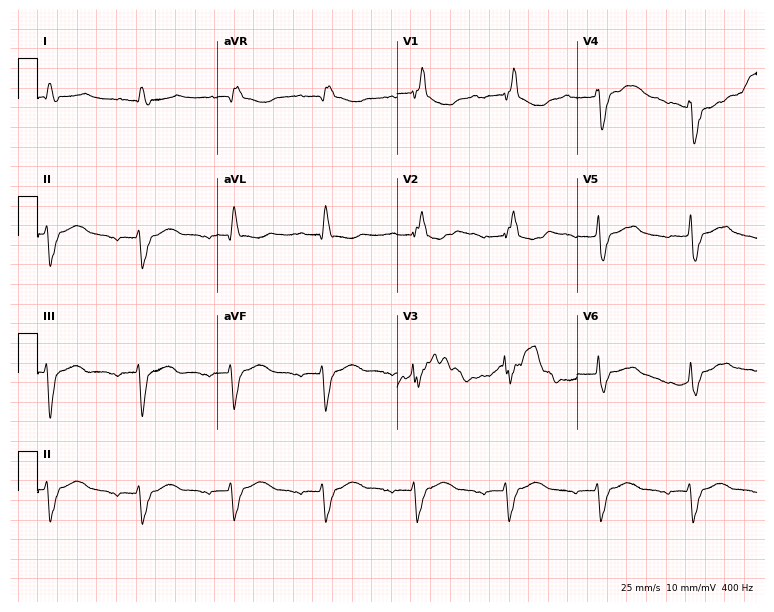
Standard 12-lead ECG recorded from a 64-year-old male patient (7.3-second recording at 400 Hz). None of these six findings is recorded: first-degree AV block, right bundle branch block, left bundle branch block, sinus bradycardia, atrial fibrillation, sinus tachycardia. Other findings, if any, are not listed.